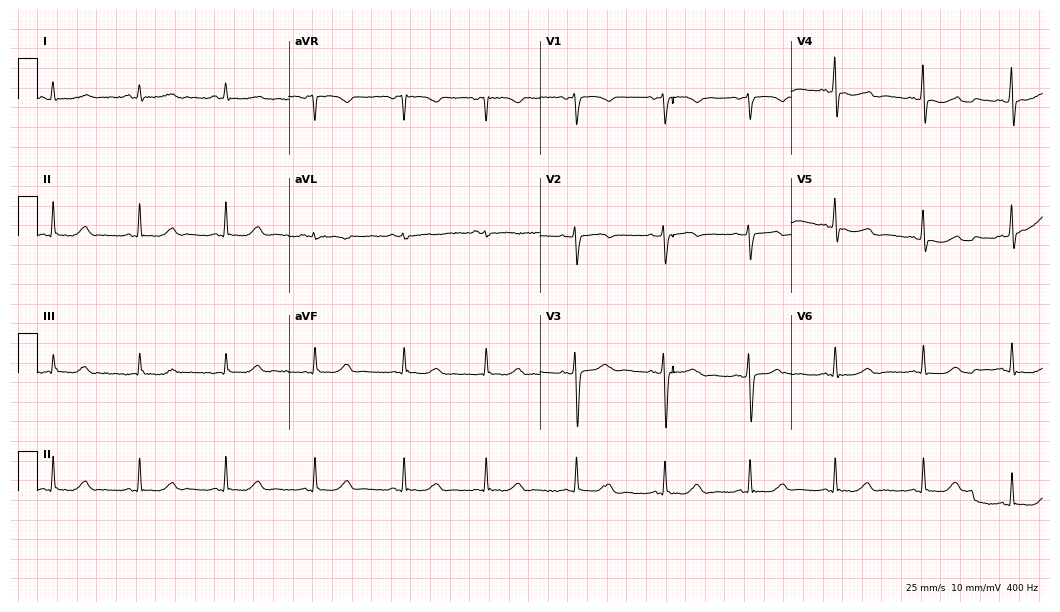
Electrocardiogram, a 51-year-old female. Overall reading on record: normal ECG.